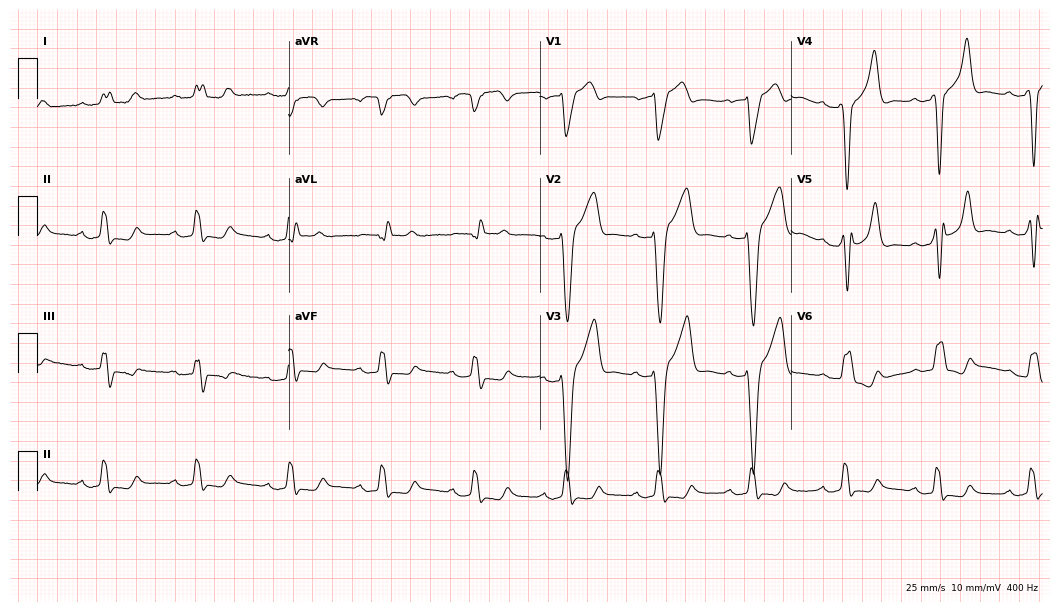
Standard 12-lead ECG recorded from a man, 80 years old (10.2-second recording at 400 Hz). The tracing shows first-degree AV block, left bundle branch block.